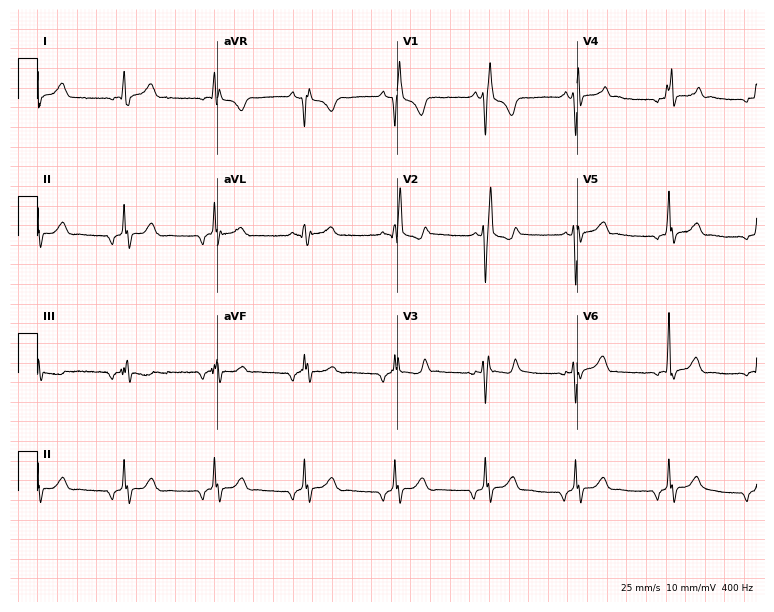
Resting 12-lead electrocardiogram (7.3-second recording at 400 Hz). Patient: a female, 18 years old. The tracing shows right bundle branch block (RBBB).